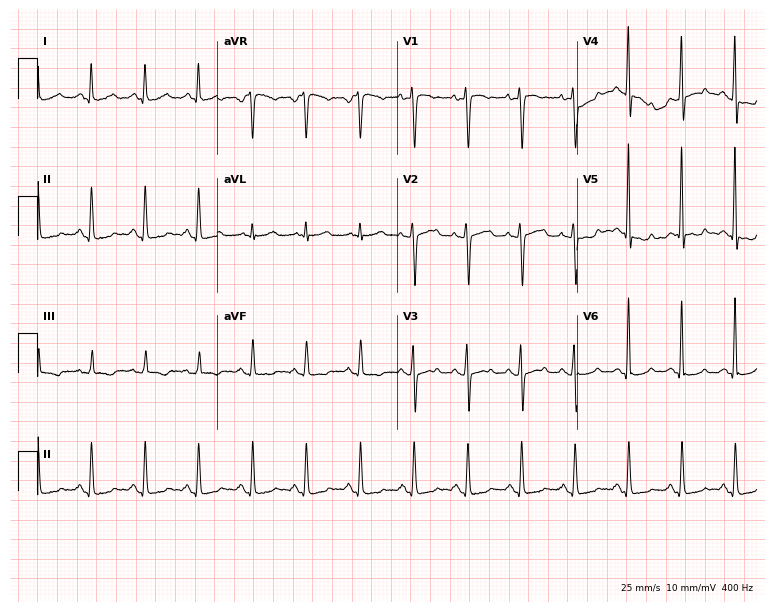
Standard 12-lead ECG recorded from a female patient, 48 years old (7.3-second recording at 400 Hz). The tracing shows sinus tachycardia (a sinus rate of 100 beats per minute or more).